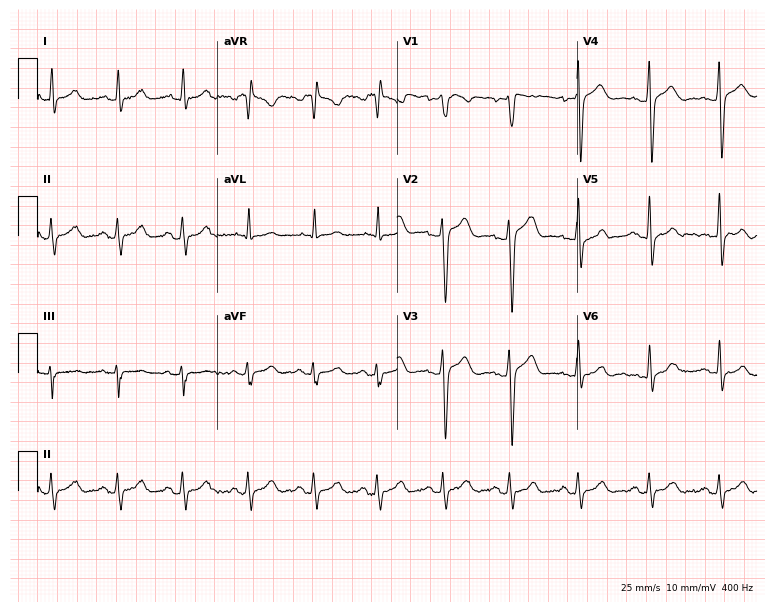
Electrocardiogram (7.3-second recording at 400 Hz), a 56-year-old male. Of the six screened findings (first-degree AV block, right bundle branch block, left bundle branch block, sinus bradycardia, atrial fibrillation, sinus tachycardia), none is recorded.